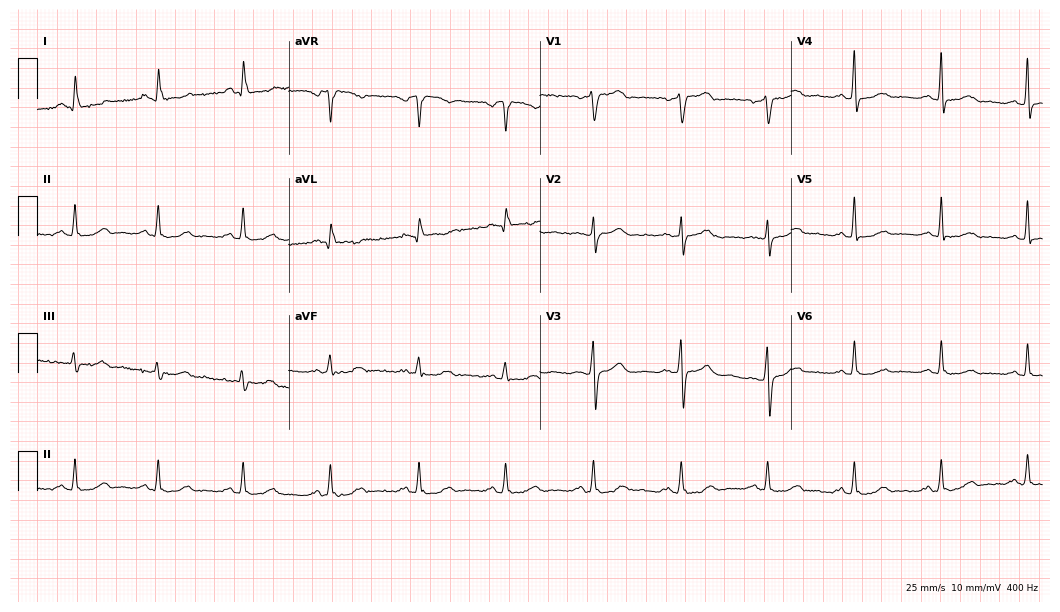
12-lead ECG from a female patient, 50 years old. No first-degree AV block, right bundle branch block, left bundle branch block, sinus bradycardia, atrial fibrillation or sinus tachycardia recorded for this tracing. Findings outside these six are not listed.